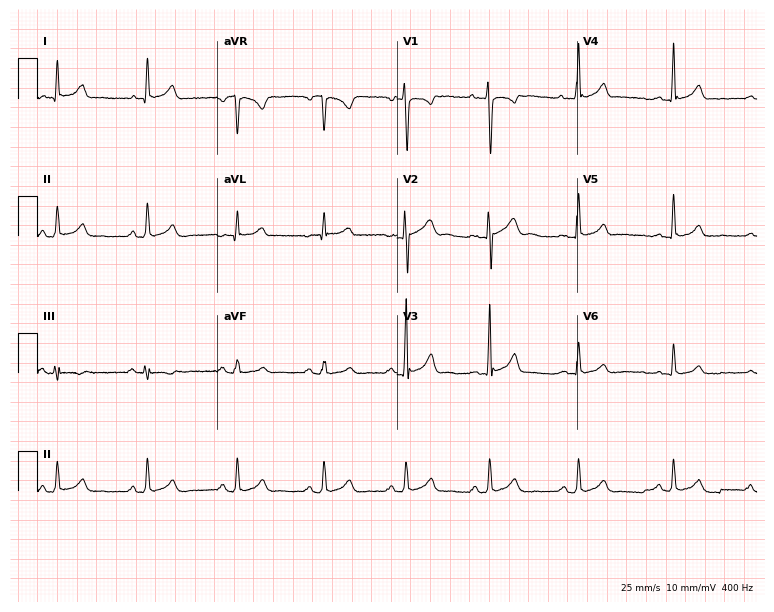
ECG — a male, 28 years old. Labelled as a normal ECG.